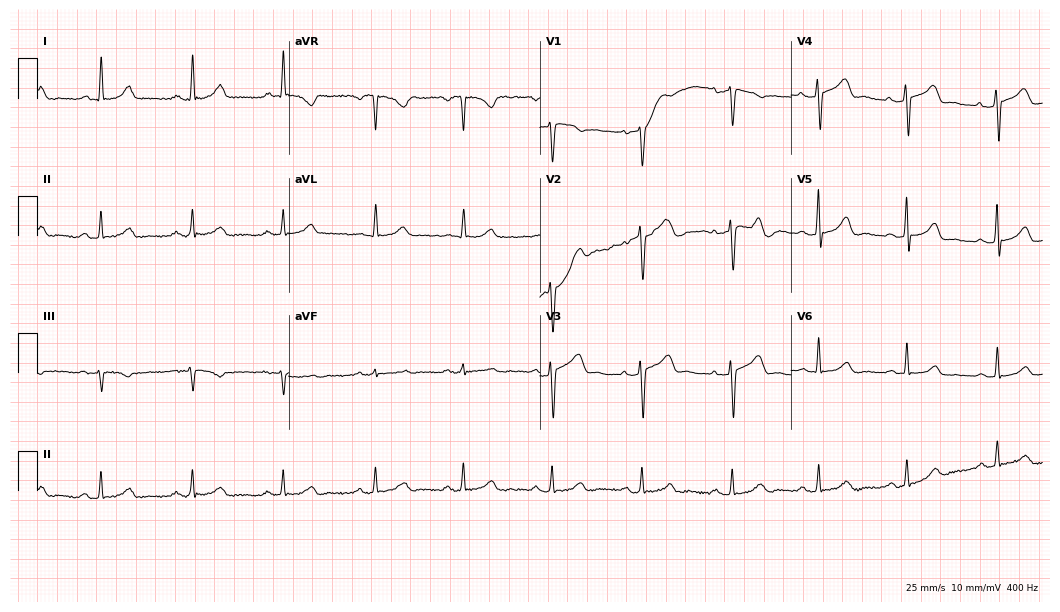
Electrocardiogram, a female patient, 47 years old. Overall reading on record: normal ECG.